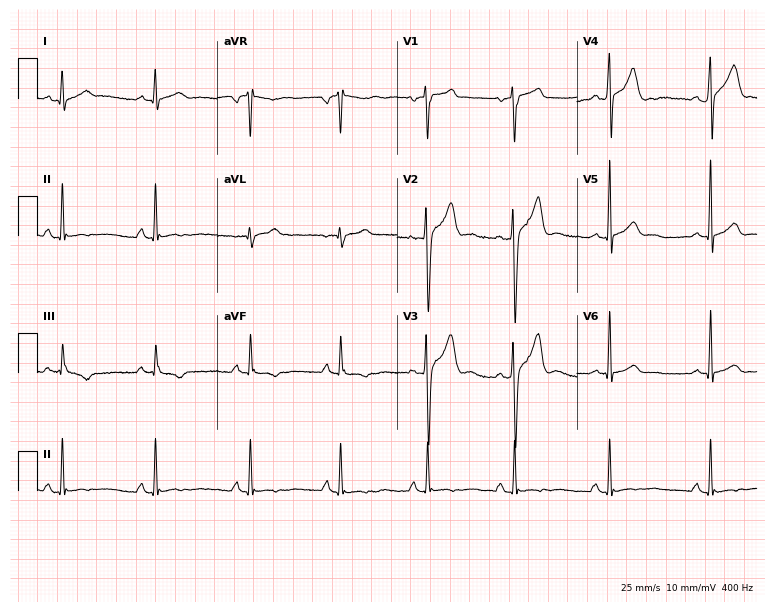
ECG (7.3-second recording at 400 Hz) — a male, 34 years old. Screened for six findings — first-degree AV block, right bundle branch block, left bundle branch block, sinus bradycardia, atrial fibrillation, sinus tachycardia — none is recorded. Other findings, if any, are not listed.